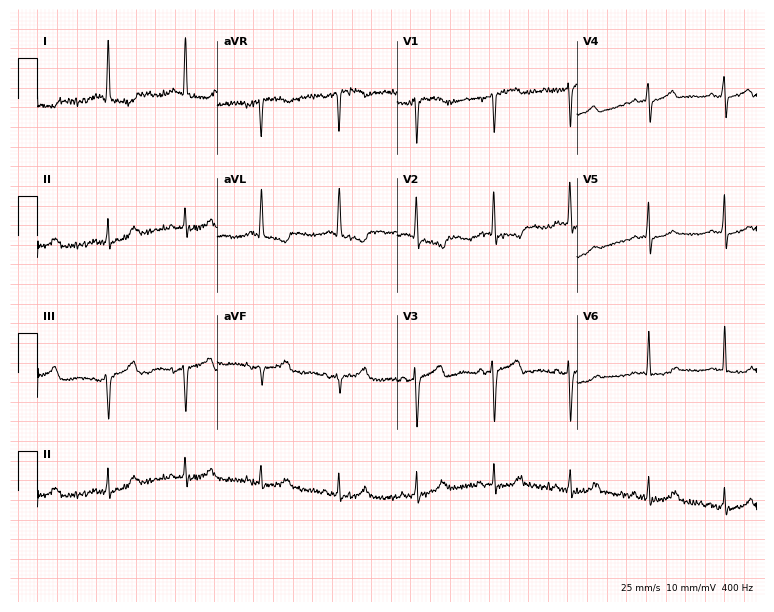
12-lead ECG (7.3-second recording at 400 Hz) from a female patient, 85 years old. Screened for six findings — first-degree AV block, right bundle branch block (RBBB), left bundle branch block (LBBB), sinus bradycardia, atrial fibrillation (AF), sinus tachycardia — none is recorded.